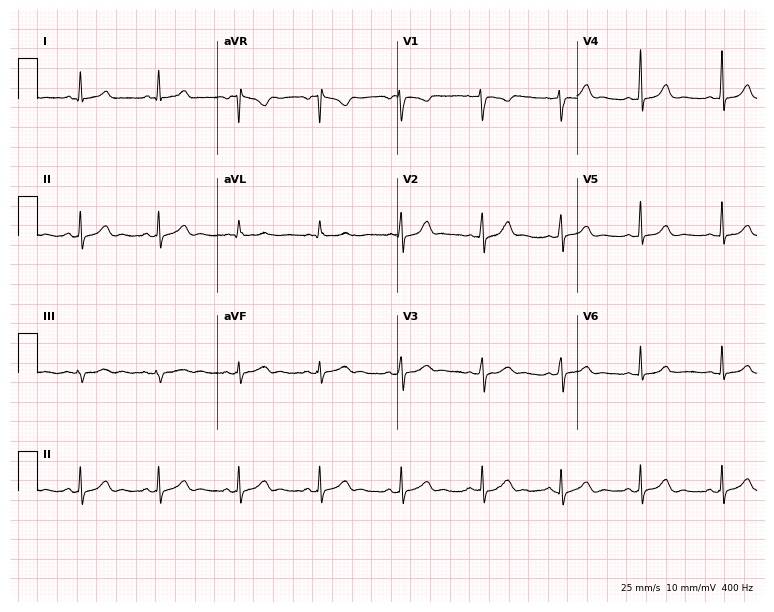
12-lead ECG from a 30-year-old woman. Screened for six findings — first-degree AV block, right bundle branch block, left bundle branch block, sinus bradycardia, atrial fibrillation, sinus tachycardia — none is recorded.